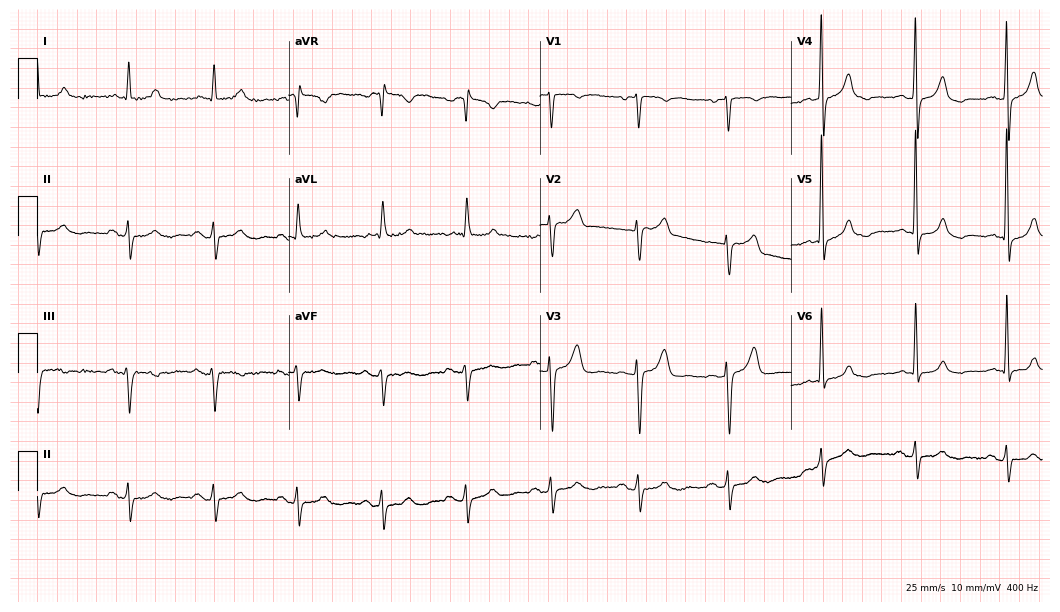
12-lead ECG from a man, 82 years old. Screened for six findings — first-degree AV block, right bundle branch block (RBBB), left bundle branch block (LBBB), sinus bradycardia, atrial fibrillation (AF), sinus tachycardia — none is recorded.